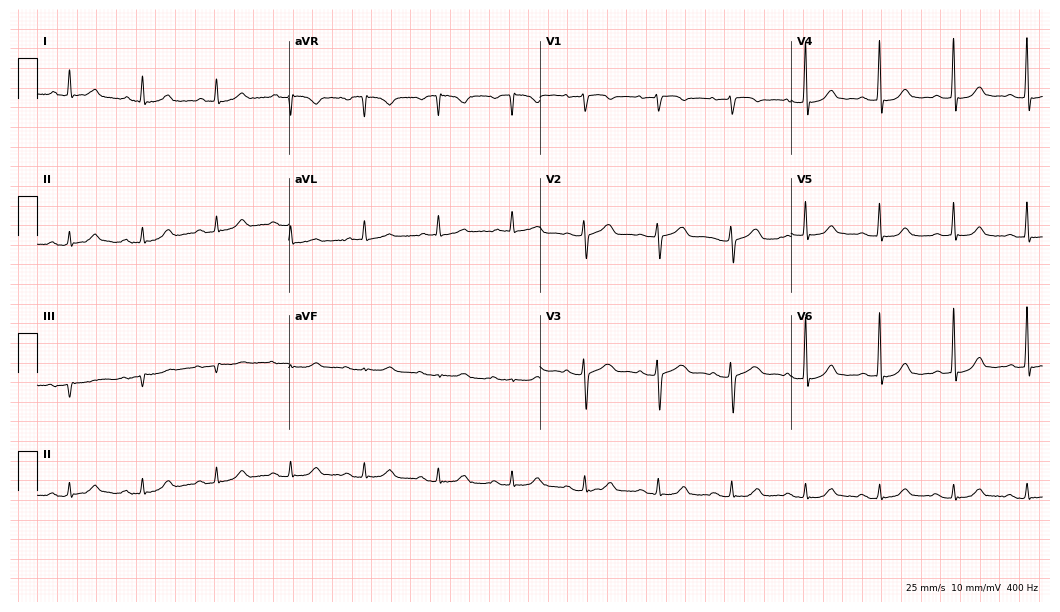
Resting 12-lead electrocardiogram. Patient: a woman, 73 years old. Read as a normal ECG.